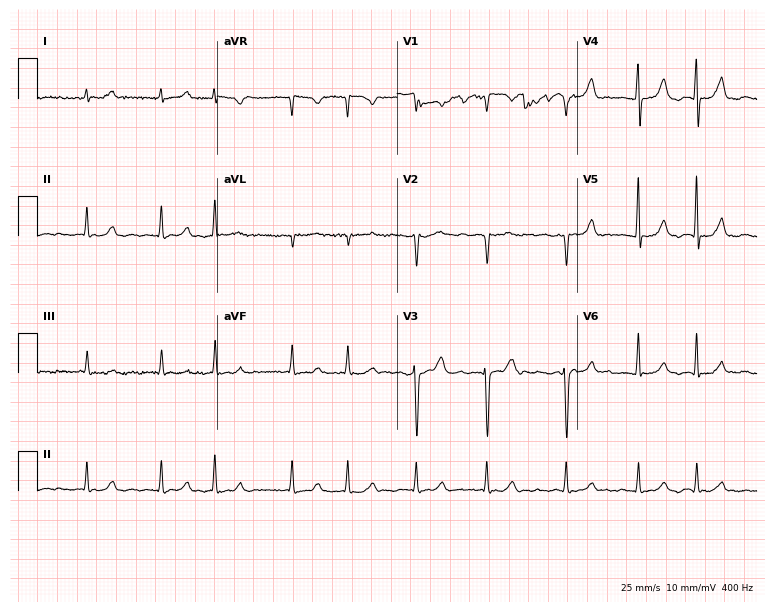
Standard 12-lead ECG recorded from a 78-year-old woman (7.3-second recording at 400 Hz). The tracing shows atrial fibrillation.